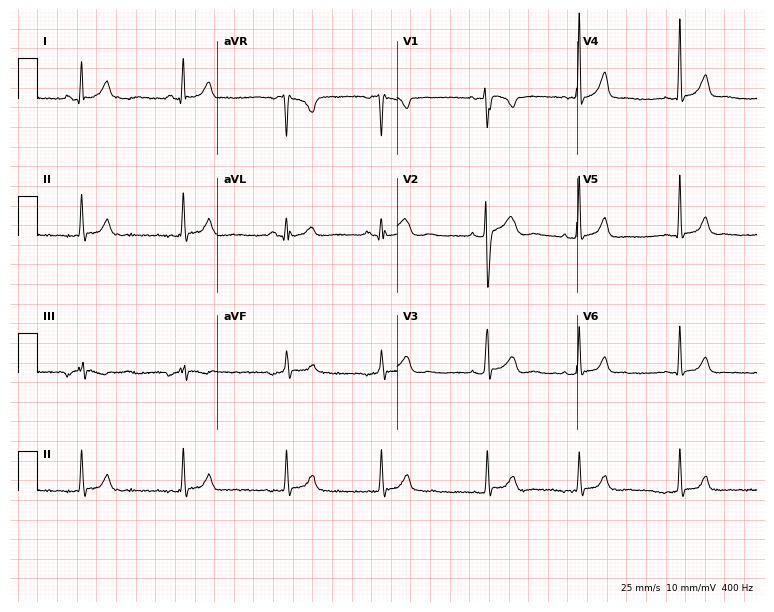
ECG (7.3-second recording at 400 Hz) — a man, 25 years old. Screened for six findings — first-degree AV block, right bundle branch block, left bundle branch block, sinus bradycardia, atrial fibrillation, sinus tachycardia — none is recorded. Only these six findings were labelled.